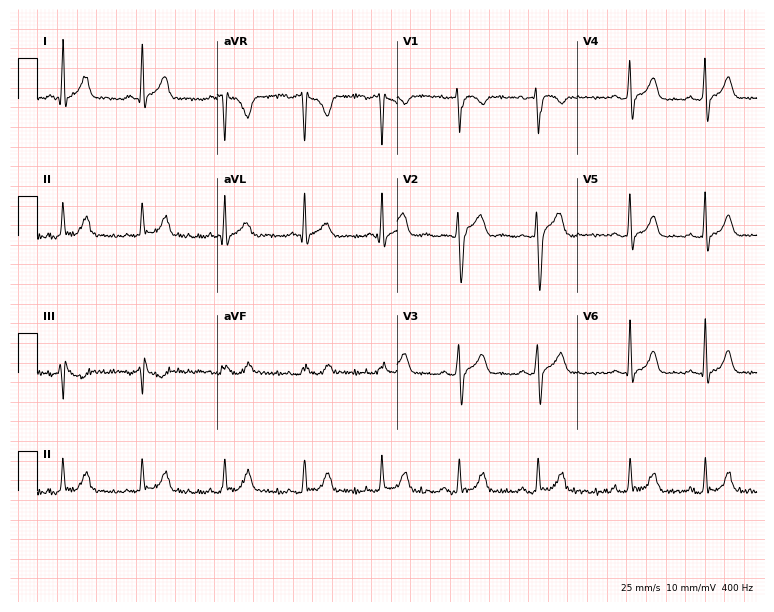
ECG — a 32-year-old male patient. Screened for six findings — first-degree AV block, right bundle branch block (RBBB), left bundle branch block (LBBB), sinus bradycardia, atrial fibrillation (AF), sinus tachycardia — none is recorded.